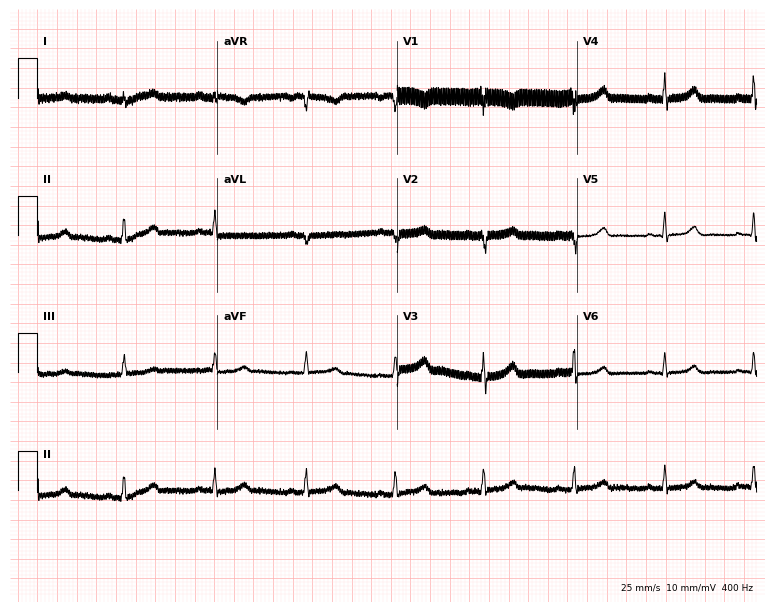
Electrocardiogram, a female, 31 years old. Overall reading on record: normal ECG.